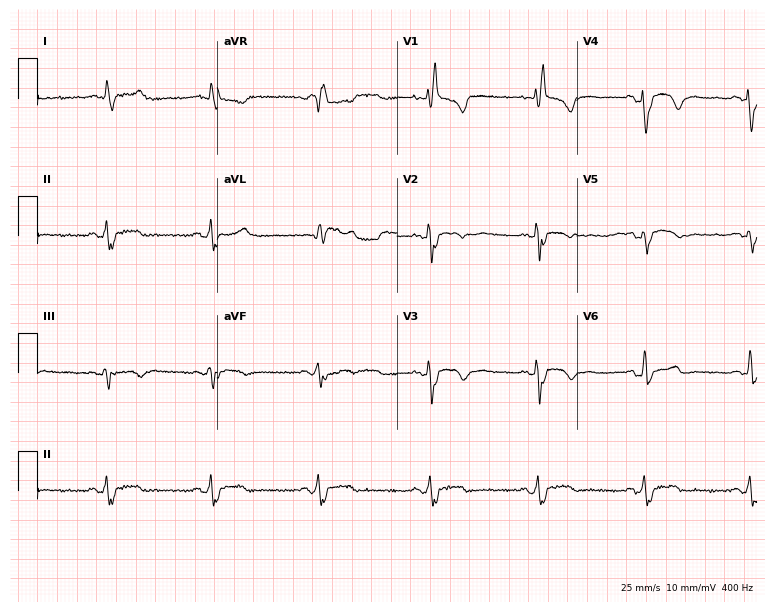
Standard 12-lead ECG recorded from a female, 55 years old. The tracing shows right bundle branch block.